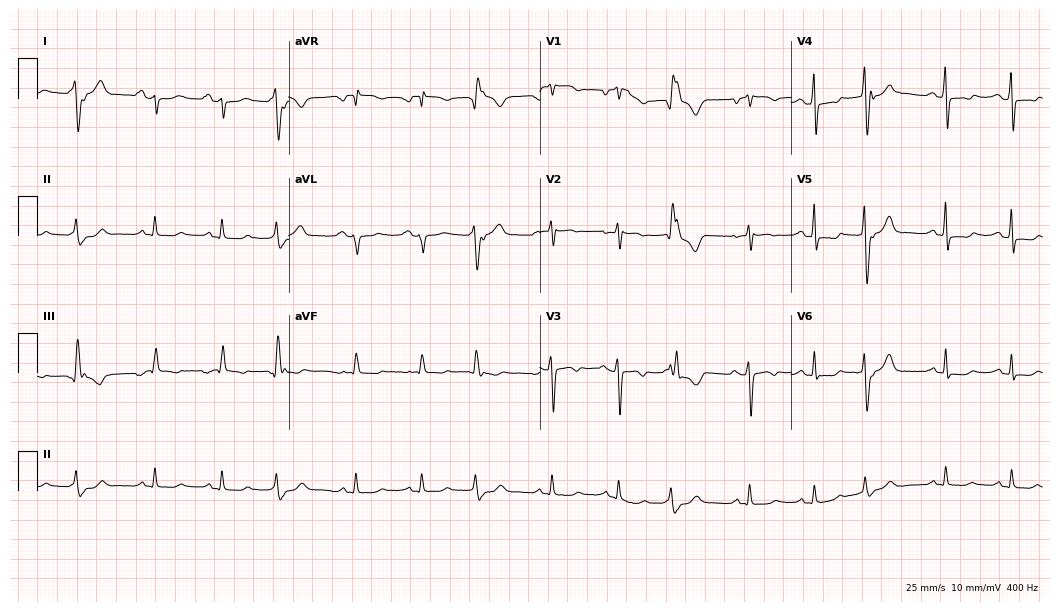
ECG (10.2-second recording at 400 Hz) — a woman, 78 years old. Screened for six findings — first-degree AV block, right bundle branch block, left bundle branch block, sinus bradycardia, atrial fibrillation, sinus tachycardia — none is recorded. Findings outside these six are not listed.